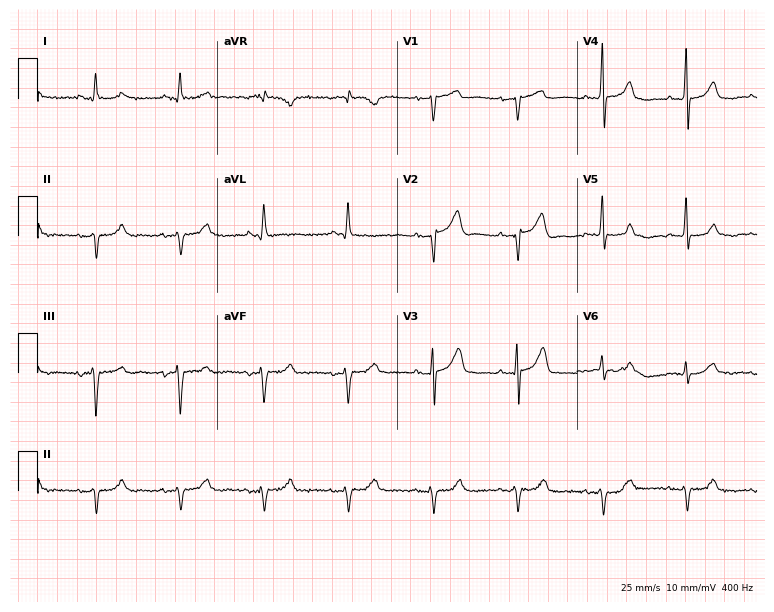
ECG — a male patient, 67 years old. Screened for six findings — first-degree AV block, right bundle branch block (RBBB), left bundle branch block (LBBB), sinus bradycardia, atrial fibrillation (AF), sinus tachycardia — none is recorded.